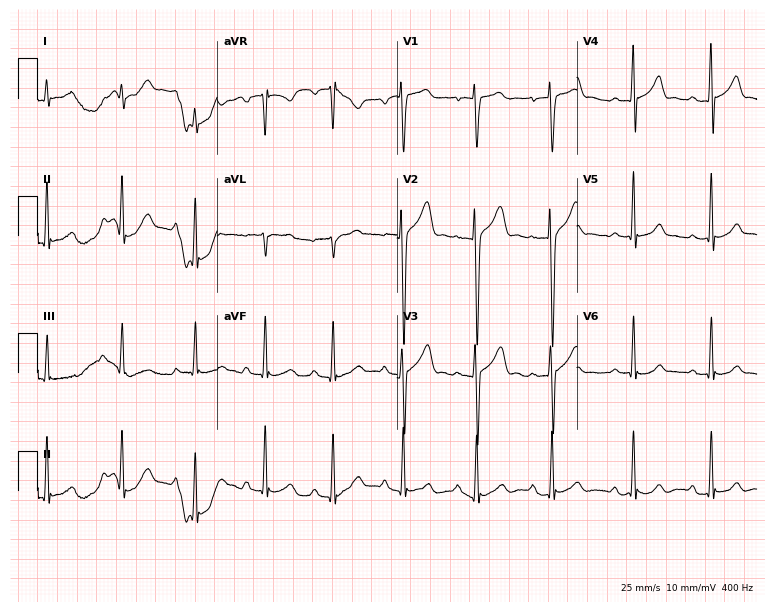
12-lead ECG from a 17-year-old male (7.3-second recording at 400 Hz). No first-degree AV block, right bundle branch block, left bundle branch block, sinus bradycardia, atrial fibrillation or sinus tachycardia recorded for this tracing. Findings outside these six are not listed.